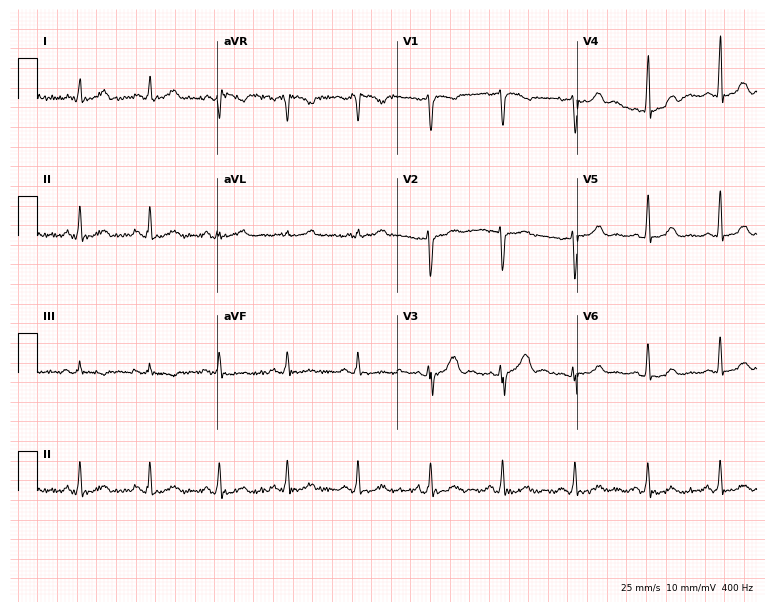
Standard 12-lead ECG recorded from a woman, 33 years old. Read as a normal ECG.